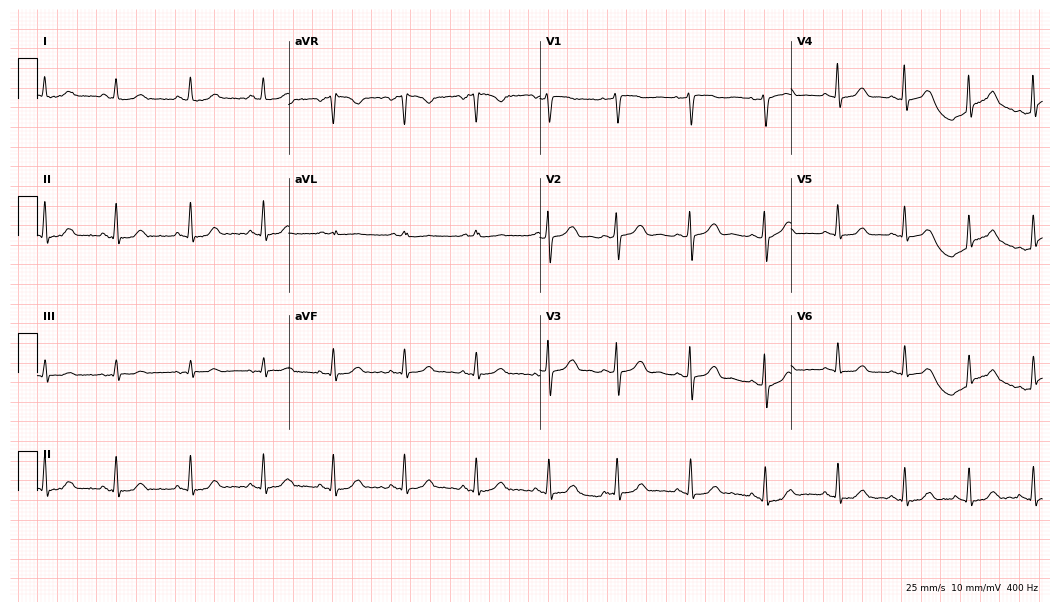
Resting 12-lead electrocardiogram (10.2-second recording at 400 Hz). Patient: a female, 43 years old. None of these six findings is recorded: first-degree AV block, right bundle branch block, left bundle branch block, sinus bradycardia, atrial fibrillation, sinus tachycardia. Only these six findings were labelled.